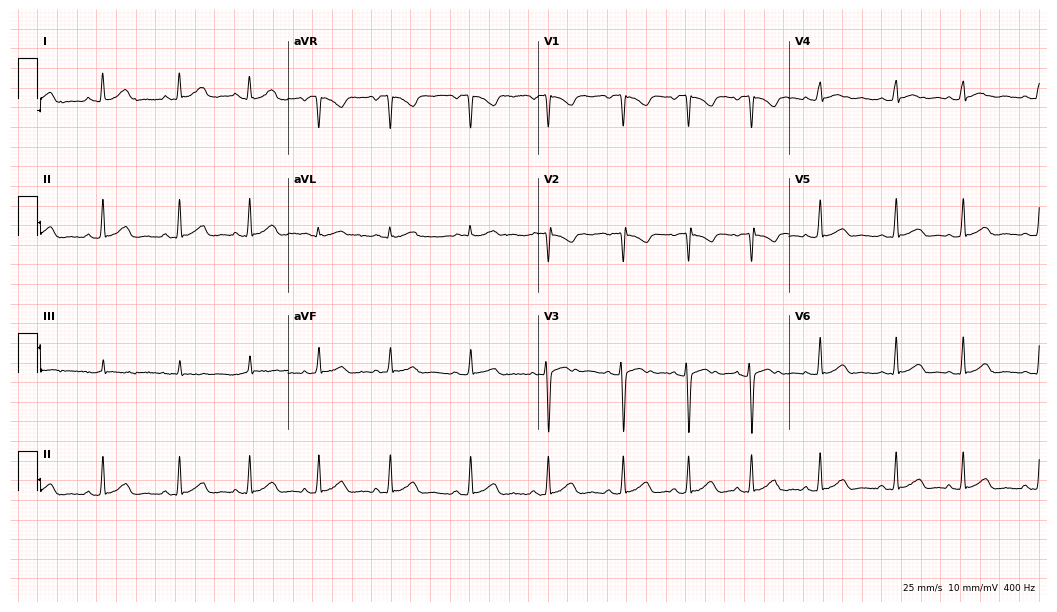
ECG — a female patient, 17 years old. Labelled as a normal ECG.